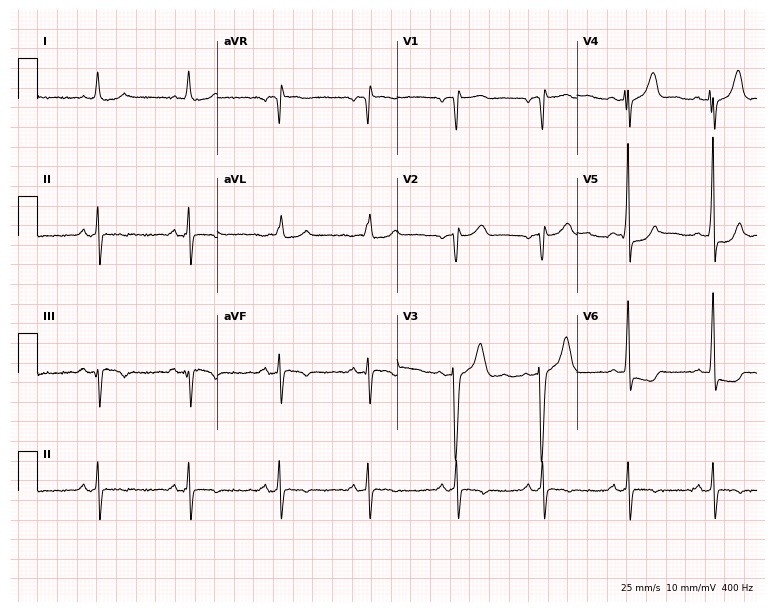
12-lead ECG from a 77-year-old male. No first-degree AV block, right bundle branch block (RBBB), left bundle branch block (LBBB), sinus bradycardia, atrial fibrillation (AF) or sinus tachycardia recorded for this tracing. Other findings, if any, are not listed.